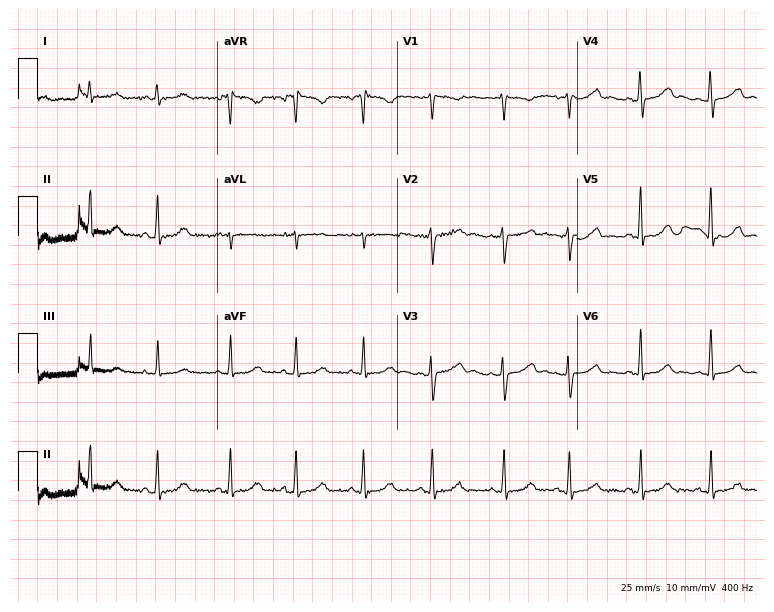
12-lead ECG (7.3-second recording at 400 Hz) from a woman, 35 years old. Labelled as a normal ECG.